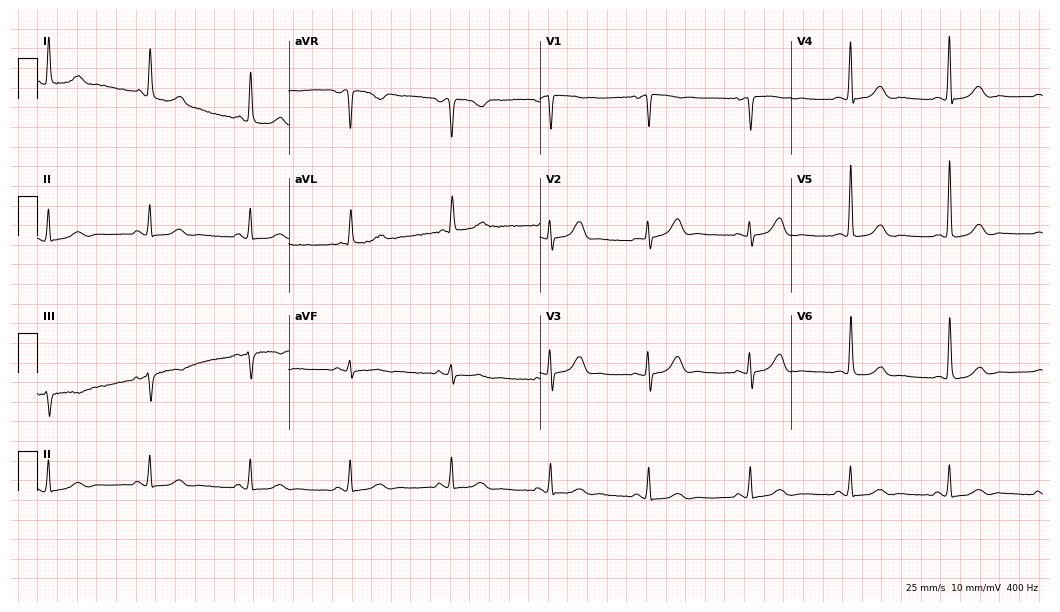
Resting 12-lead electrocardiogram. Patient: a 77-year-old female. None of these six findings is recorded: first-degree AV block, right bundle branch block (RBBB), left bundle branch block (LBBB), sinus bradycardia, atrial fibrillation (AF), sinus tachycardia. Findings outside these six are not listed.